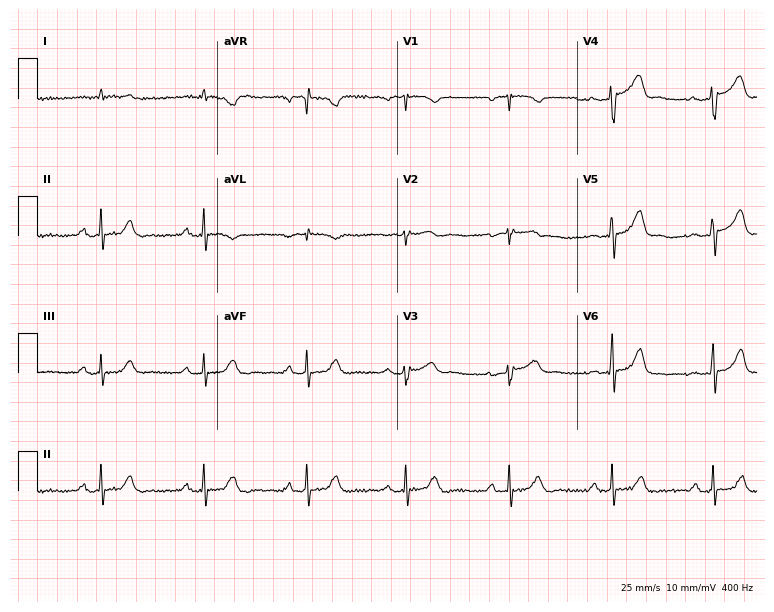
Electrocardiogram, a male, 73 years old. Overall reading on record: normal ECG.